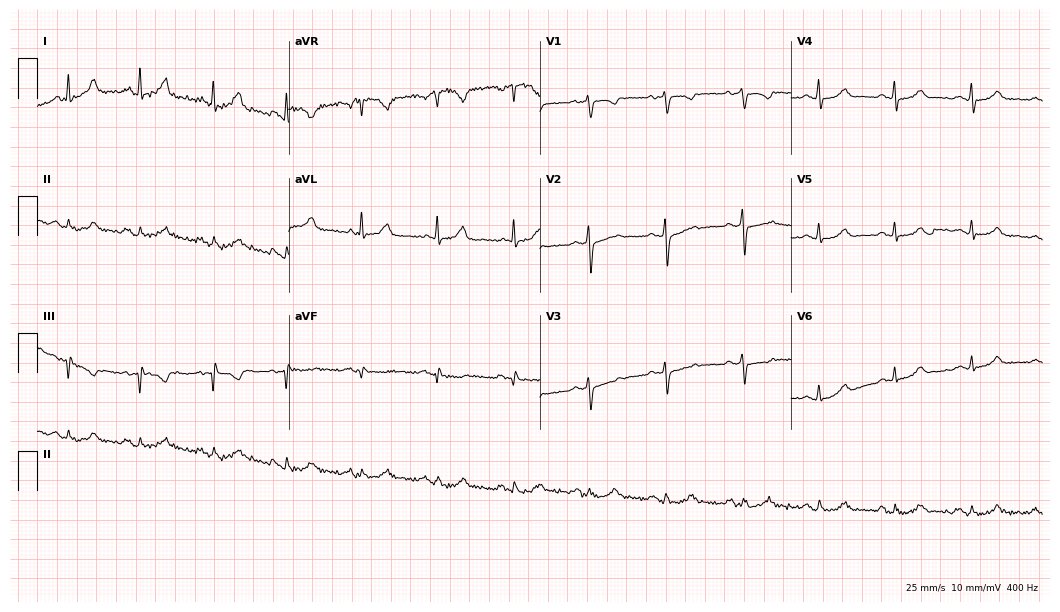
Resting 12-lead electrocardiogram. Patient: a female, 85 years old. None of these six findings is recorded: first-degree AV block, right bundle branch block (RBBB), left bundle branch block (LBBB), sinus bradycardia, atrial fibrillation (AF), sinus tachycardia. Other findings, if any, are not listed.